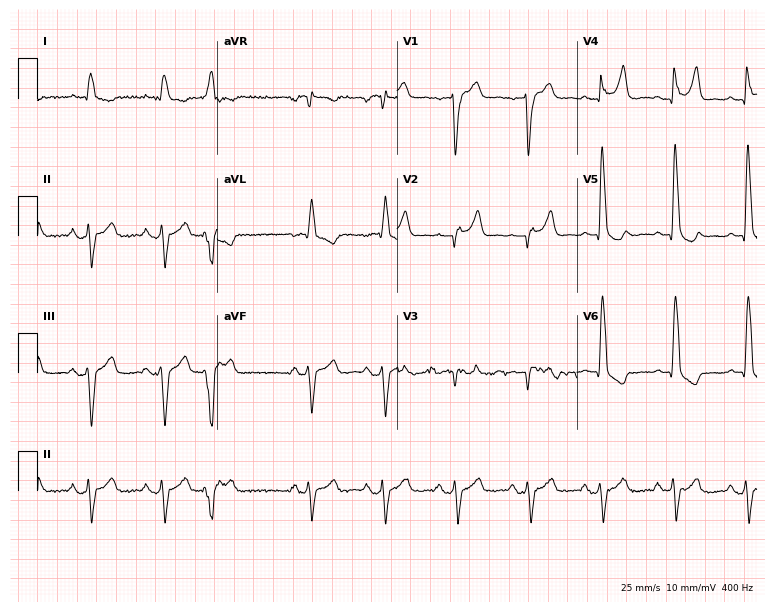
12-lead ECG (7.3-second recording at 400 Hz) from a man, 86 years old. Screened for six findings — first-degree AV block, right bundle branch block, left bundle branch block, sinus bradycardia, atrial fibrillation, sinus tachycardia — none is recorded.